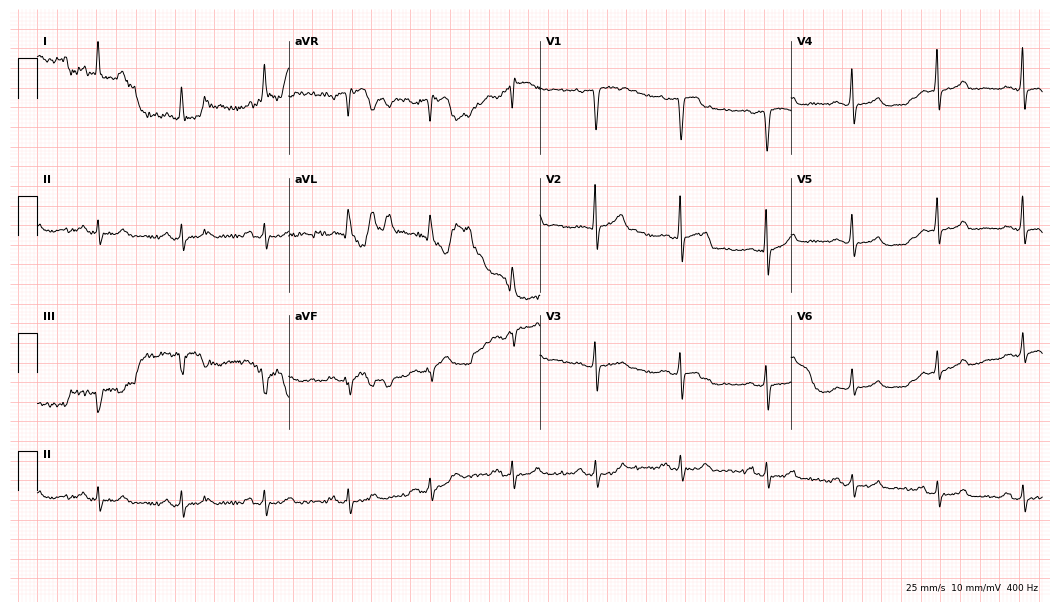
12-lead ECG from a 71-year-old man (10.2-second recording at 400 Hz). No first-degree AV block, right bundle branch block, left bundle branch block, sinus bradycardia, atrial fibrillation or sinus tachycardia recorded for this tracing.